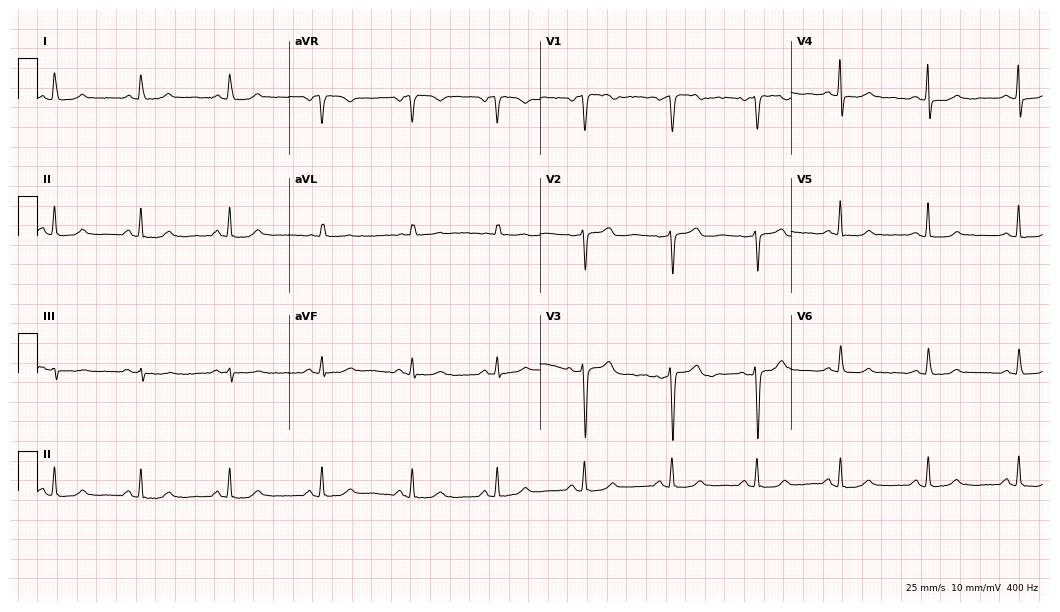
Resting 12-lead electrocardiogram (10.2-second recording at 400 Hz). Patient: a 56-year-old woman. Read as a normal ECG.